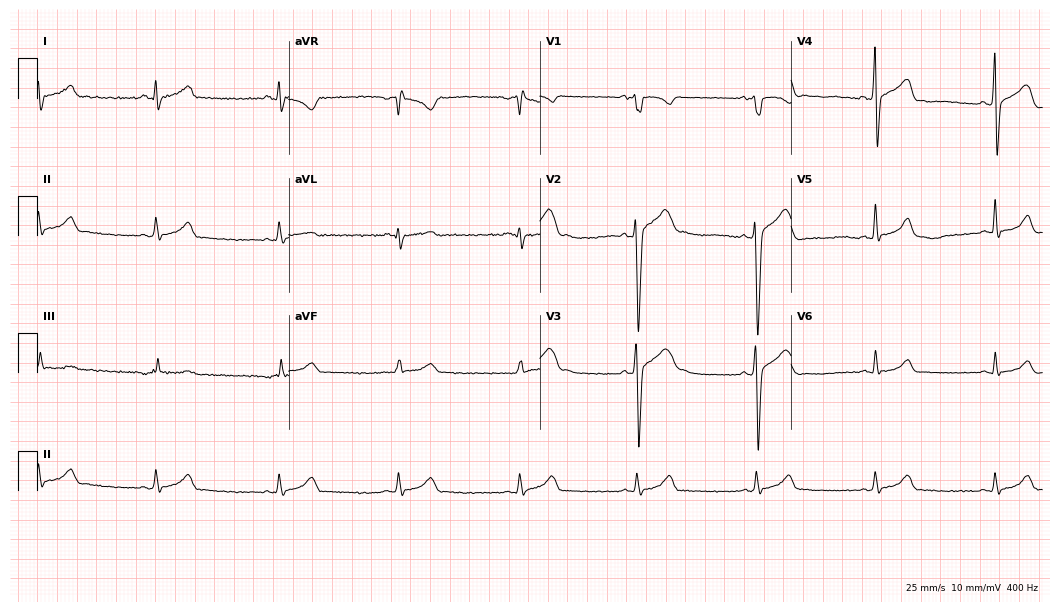
Electrocardiogram, a male, 25 years old. Overall reading on record: normal ECG.